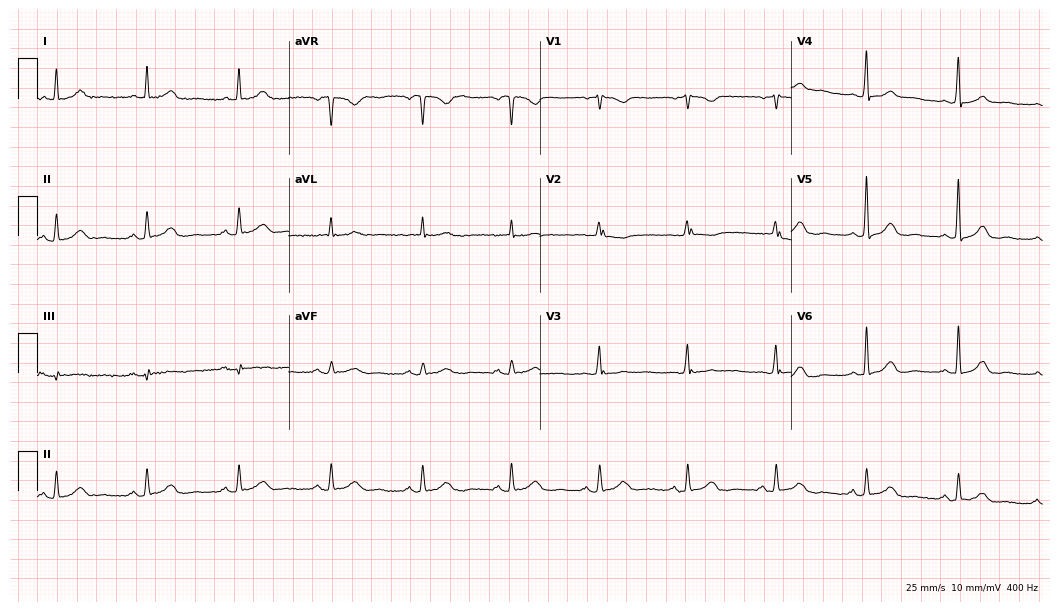
Standard 12-lead ECG recorded from a 59-year-old woman (10.2-second recording at 400 Hz). Read as a normal ECG.